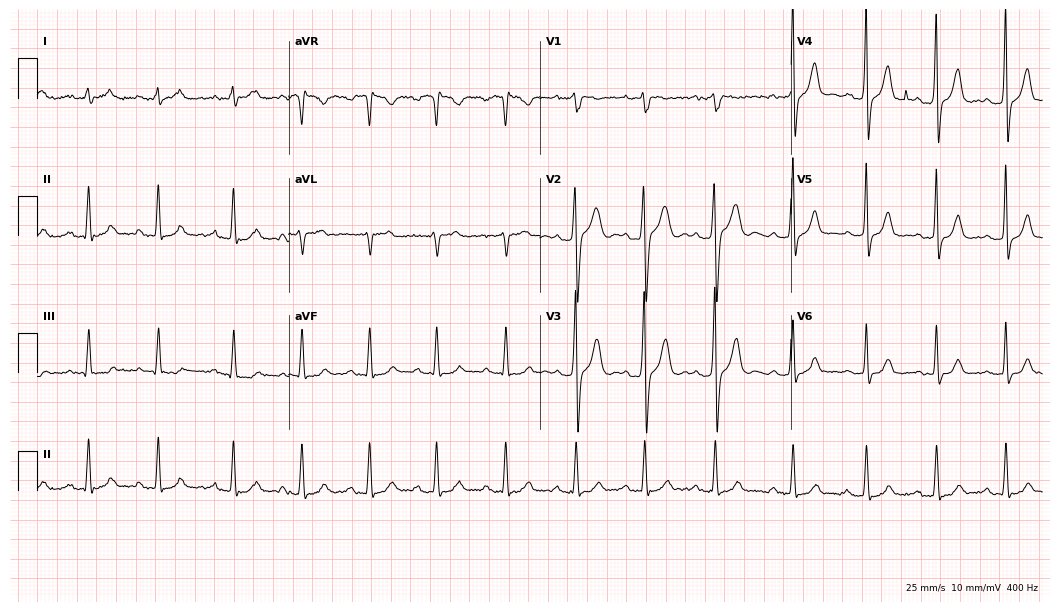
Resting 12-lead electrocardiogram. Patient: a 34-year-old male. None of these six findings is recorded: first-degree AV block, right bundle branch block (RBBB), left bundle branch block (LBBB), sinus bradycardia, atrial fibrillation (AF), sinus tachycardia.